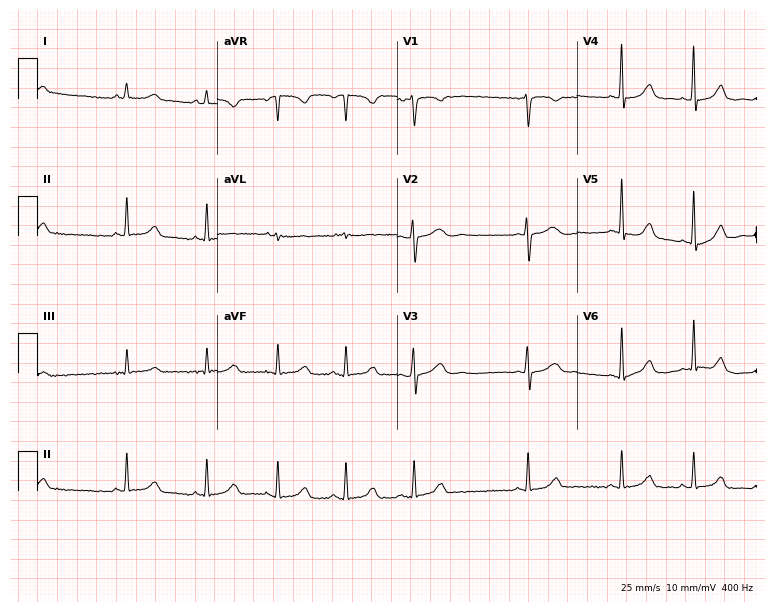
Standard 12-lead ECG recorded from a 19-year-old female. None of these six findings is recorded: first-degree AV block, right bundle branch block (RBBB), left bundle branch block (LBBB), sinus bradycardia, atrial fibrillation (AF), sinus tachycardia. Findings outside these six are not listed.